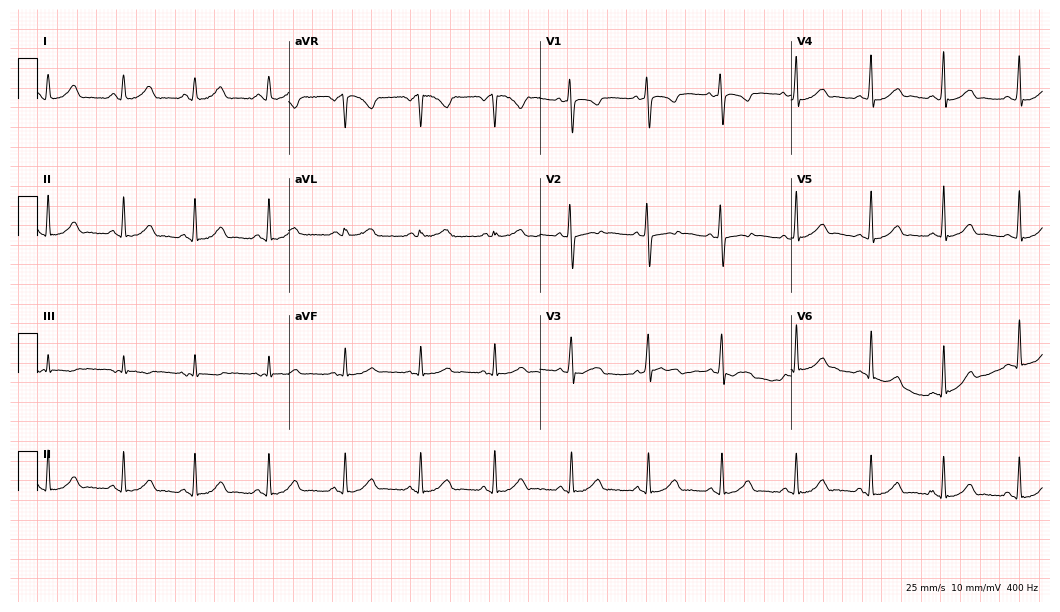
Standard 12-lead ECG recorded from a female patient, 25 years old (10.2-second recording at 400 Hz). Read as a normal ECG.